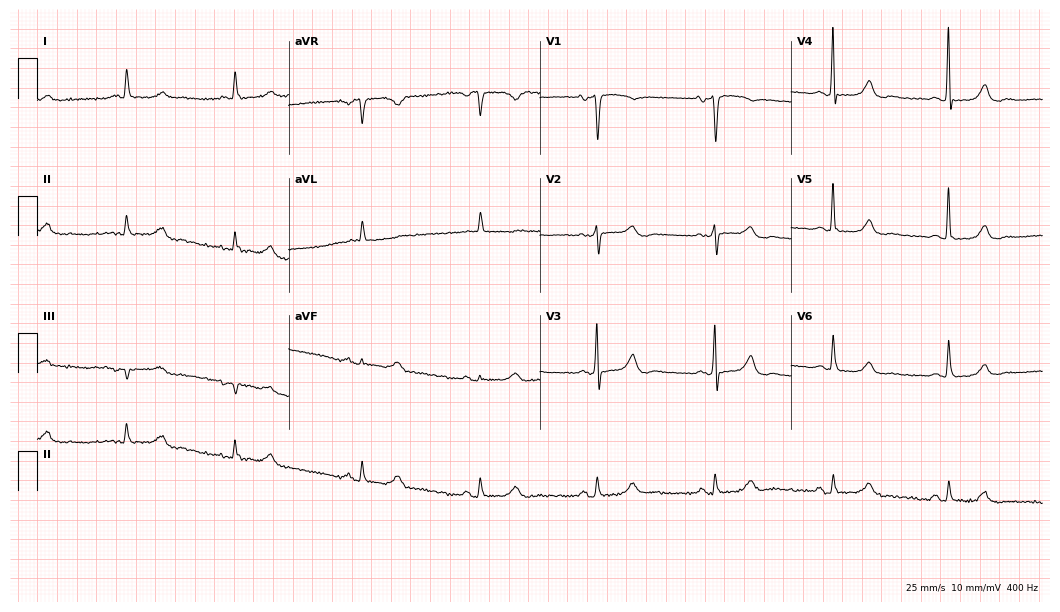
Electrocardiogram (10.2-second recording at 400 Hz), a 73-year-old woman. Interpretation includes sinus bradycardia (a sinus rate of 50 beats per minute or less).